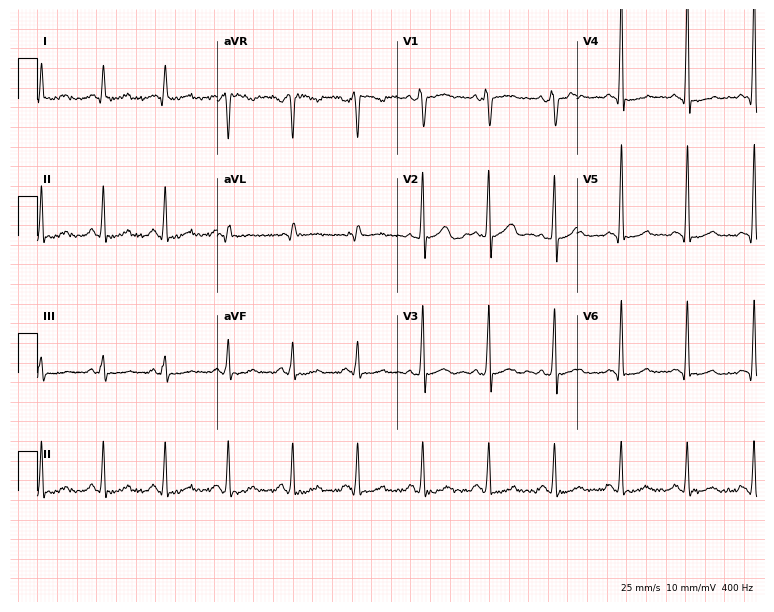
Standard 12-lead ECG recorded from a female, 34 years old (7.3-second recording at 400 Hz). None of these six findings is recorded: first-degree AV block, right bundle branch block, left bundle branch block, sinus bradycardia, atrial fibrillation, sinus tachycardia. Only these six findings were labelled.